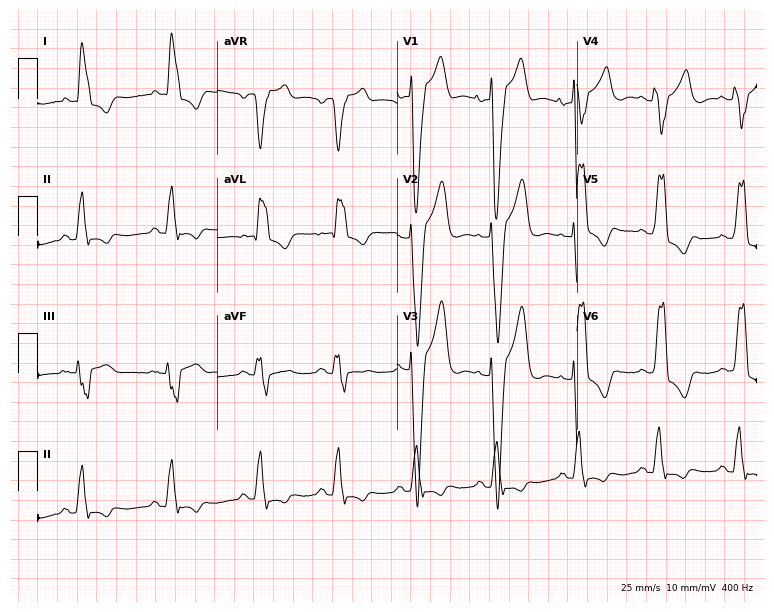
Resting 12-lead electrocardiogram (7.3-second recording at 400 Hz). Patient: a female, 72 years old. The tracing shows left bundle branch block.